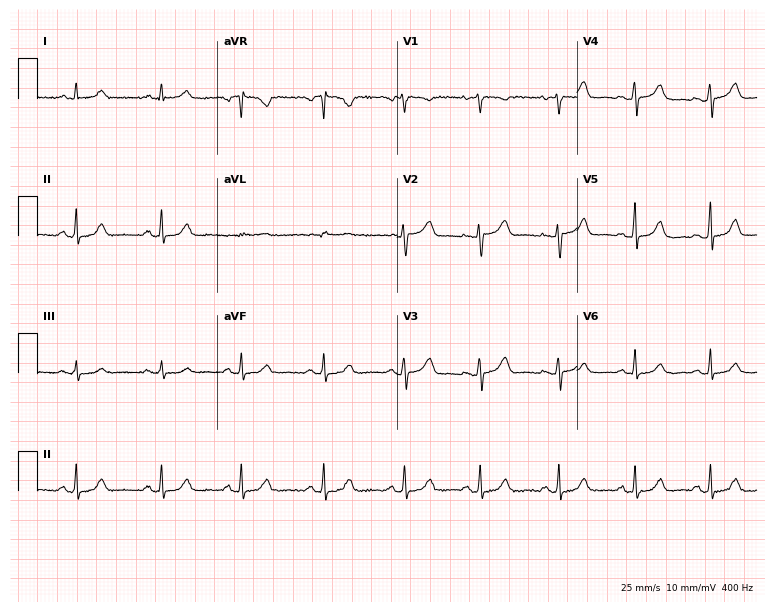
Resting 12-lead electrocardiogram. Patient: a 44-year-old female. None of these six findings is recorded: first-degree AV block, right bundle branch block (RBBB), left bundle branch block (LBBB), sinus bradycardia, atrial fibrillation (AF), sinus tachycardia. Other findings, if any, are not listed.